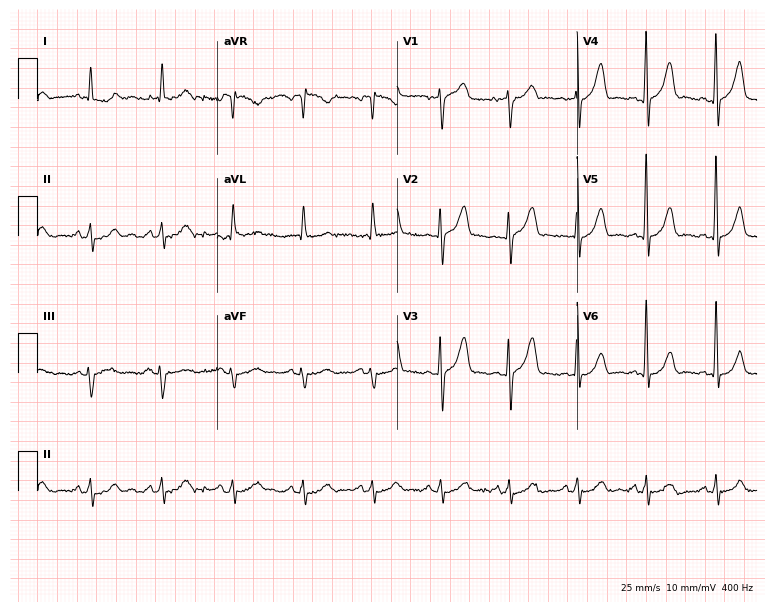
12-lead ECG from a male, 77 years old (7.3-second recording at 400 Hz). Recorded interpretation: within normal limits.